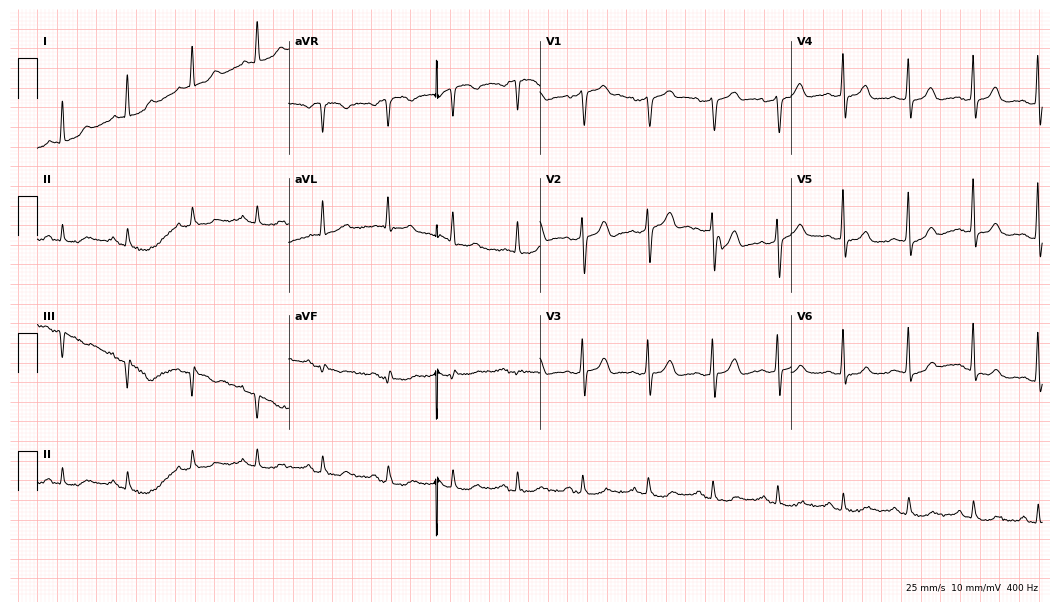
ECG (10.2-second recording at 400 Hz) — an 85-year-old man. Screened for six findings — first-degree AV block, right bundle branch block, left bundle branch block, sinus bradycardia, atrial fibrillation, sinus tachycardia — none is recorded. Only these six findings were labelled.